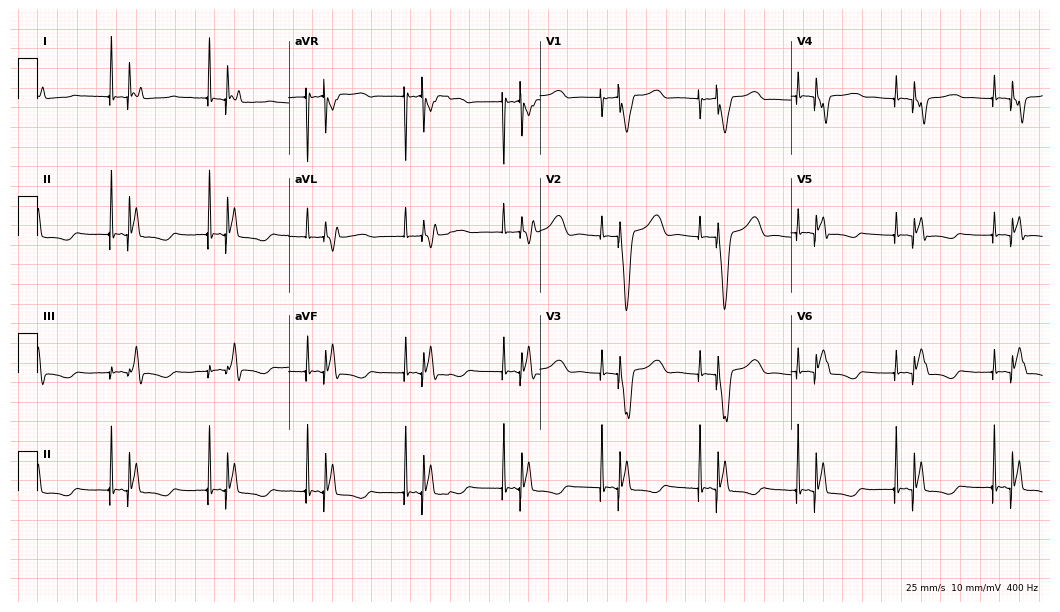
Standard 12-lead ECG recorded from a female patient, 78 years old (10.2-second recording at 400 Hz). None of these six findings is recorded: first-degree AV block, right bundle branch block (RBBB), left bundle branch block (LBBB), sinus bradycardia, atrial fibrillation (AF), sinus tachycardia.